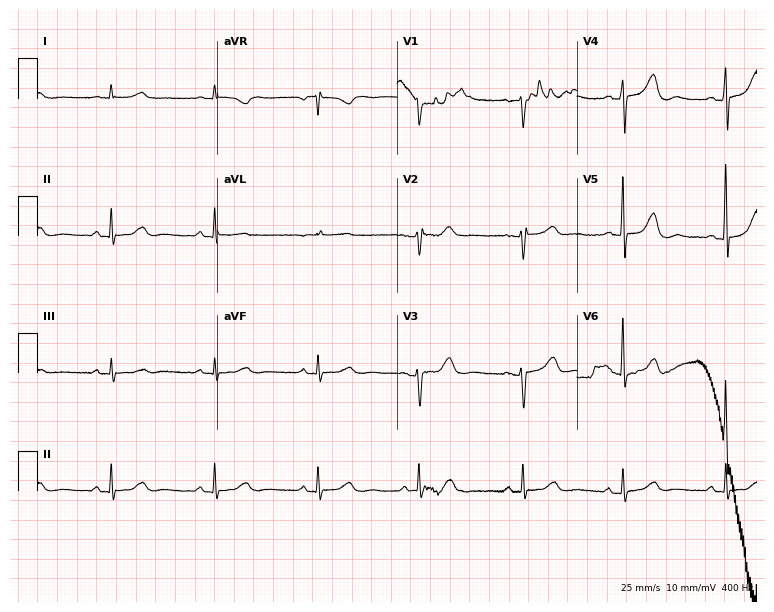
Electrocardiogram (7.3-second recording at 400 Hz), a male, 55 years old. Overall reading on record: normal ECG.